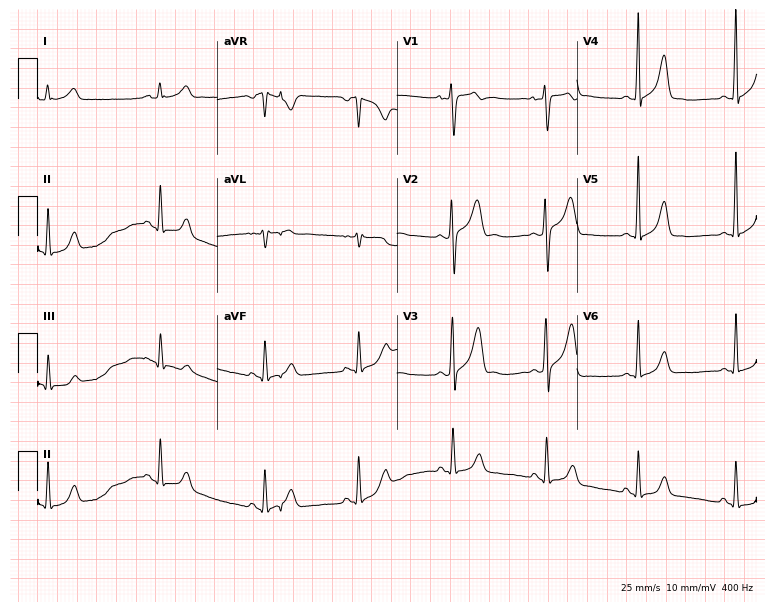
12-lead ECG from a 29-year-old male patient (7.3-second recording at 400 Hz). No first-degree AV block, right bundle branch block, left bundle branch block, sinus bradycardia, atrial fibrillation or sinus tachycardia recorded for this tracing. Findings outside these six are not listed.